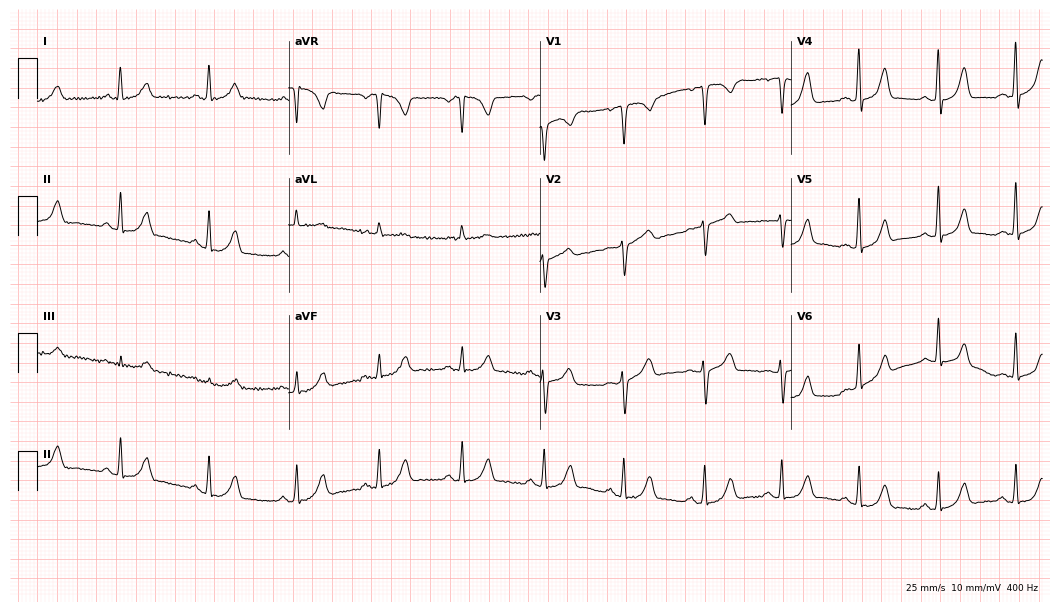
12-lead ECG from a 40-year-old woman. Labelled as a normal ECG.